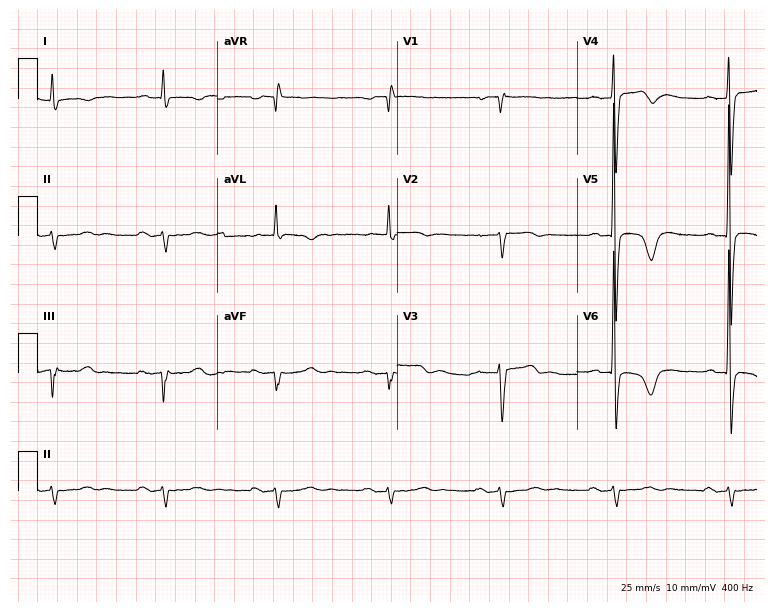
ECG — a male, 83 years old. Screened for six findings — first-degree AV block, right bundle branch block, left bundle branch block, sinus bradycardia, atrial fibrillation, sinus tachycardia — none is recorded.